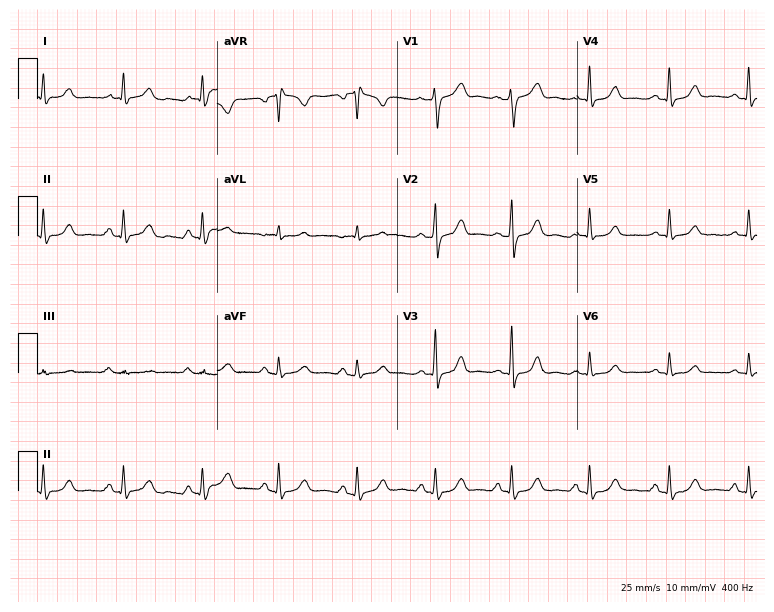
12-lead ECG from a female, 48 years old (7.3-second recording at 400 Hz). Recorded interpretation: within normal limits.